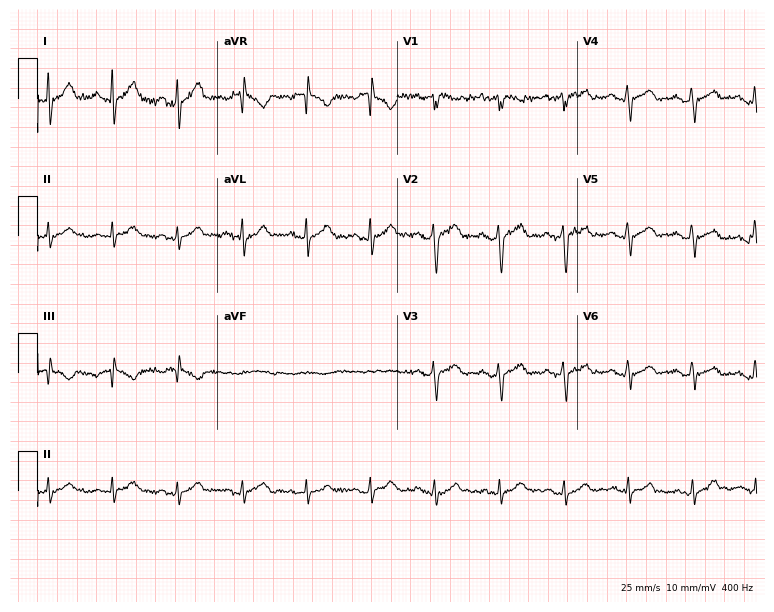
Electrocardiogram, a 47-year-old male patient. Overall reading on record: normal ECG.